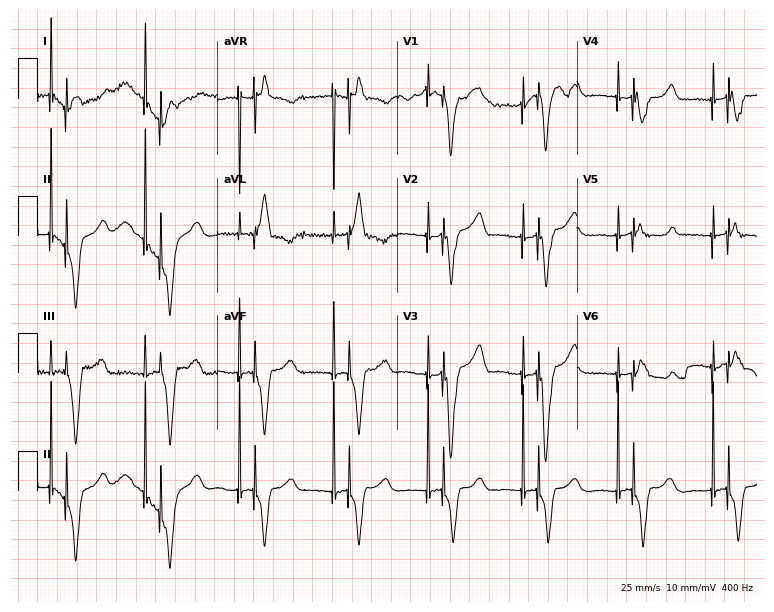
Electrocardiogram, a woman, 75 years old. Of the six screened findings (first-degree AV block, right bundle branch block (RBBB), left bundle branch block (LBBB), sinus bradycardia, atrial fibrillation (AF), sinus tachycardia), none is recorded.